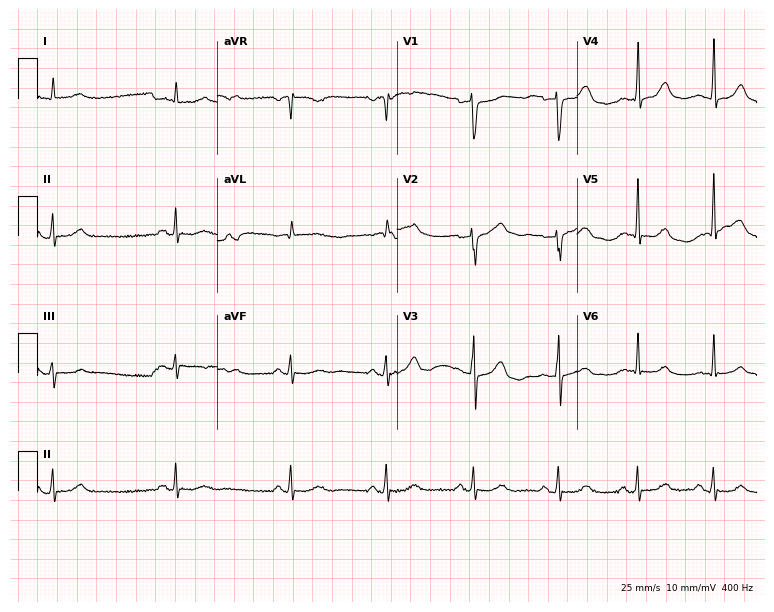
Resting 12-lead electrocardiogram (7.3-second recording at 400 Hz). Patient: an 80-year-old female. Read as a normal ECG.